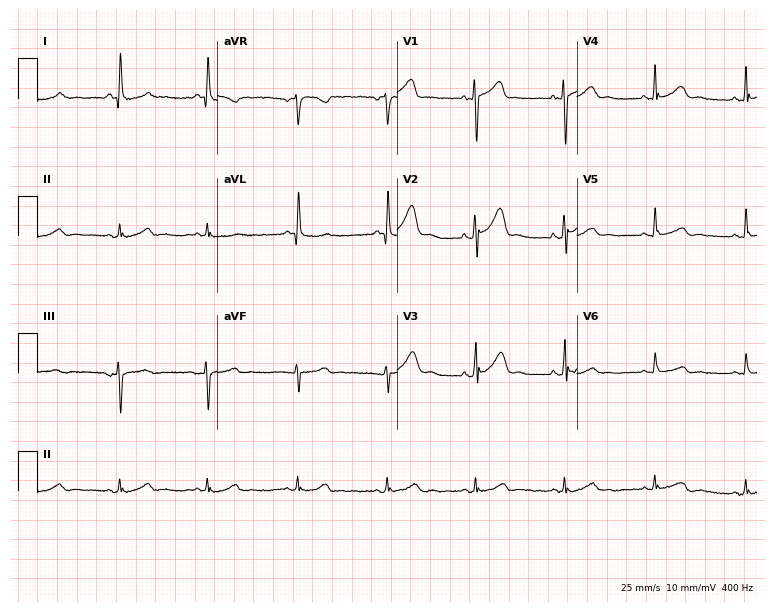
12-lead ECG from a 70-year-old man (7.3-second recording at 400 Hz). Recorded interpretation: within normal limits.